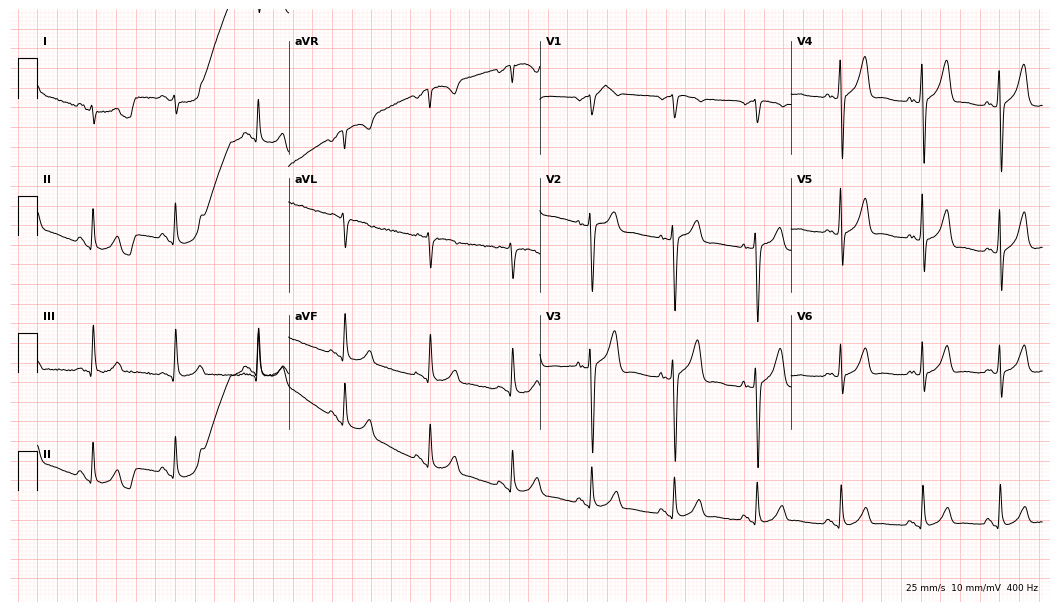
Standard 12-lead ECG recorded from a 53-year-old male patient (10.2-second recording at 400 Hz). Read as a normal ECG.